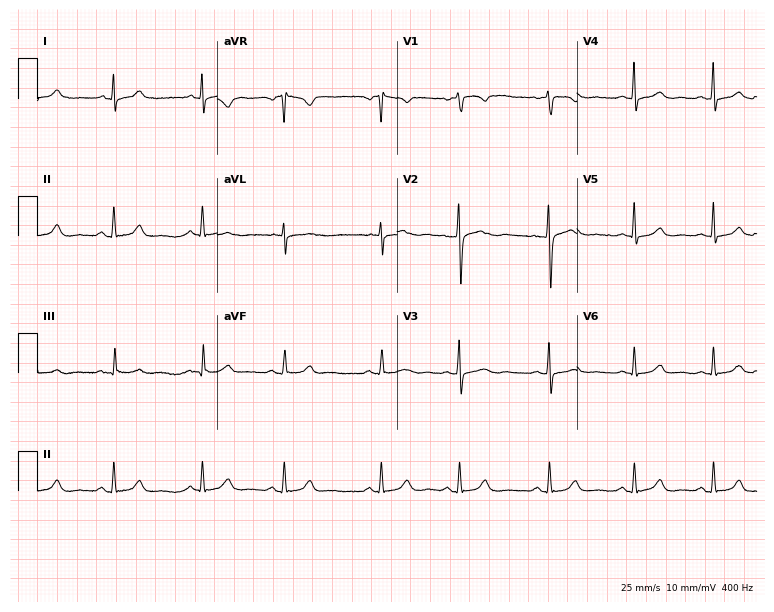
Electrocardiogram, a female, 31 years old. Overall reading on record: normal ECG.